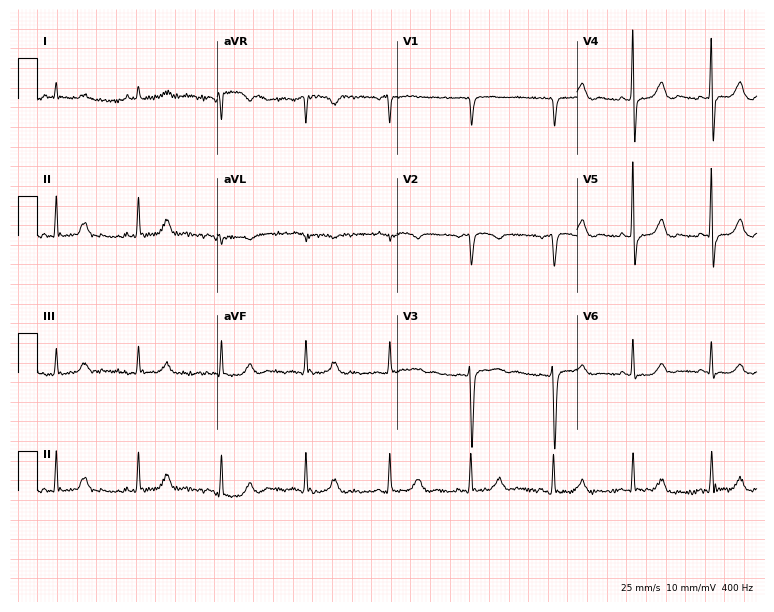
Electrocardiogram, a 70-year-old male patient. Of the six screened findings (first-degree AV block, right bundle branch block, left bundle branch block, sinus bradycardia, atrial fibrillation, sinus tachycardia), none is recorded. Findings outside these six are not listed.